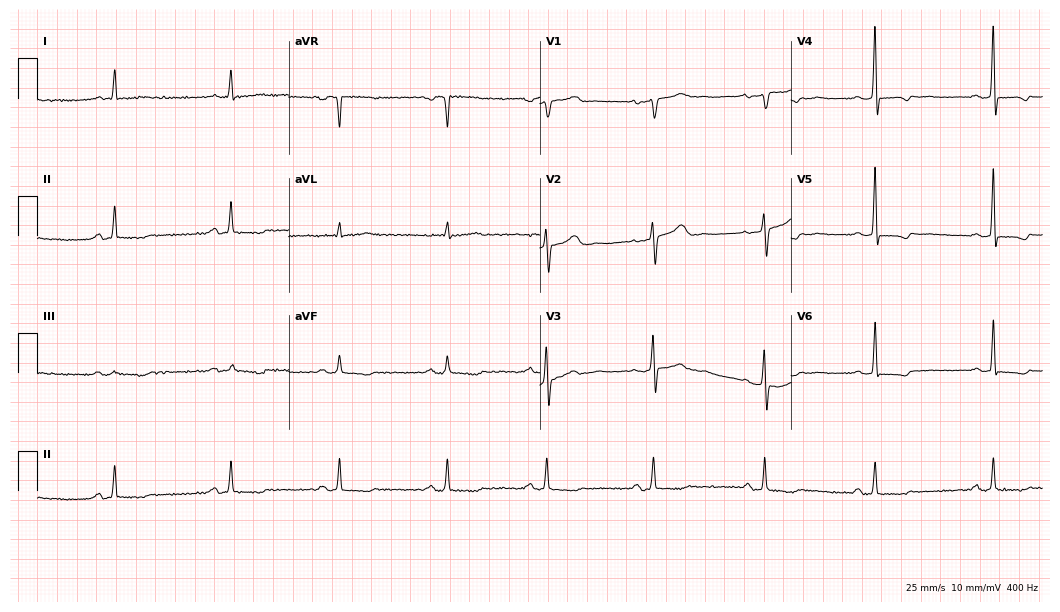
Electrocardiogram, a 54-year-old female patient. Of the six screened findings (first-degree AV block, right bundle branch block, left bundle branch block, sinus bradycardia, atrial fibrillation, sinus tachycardia), none is recorded.